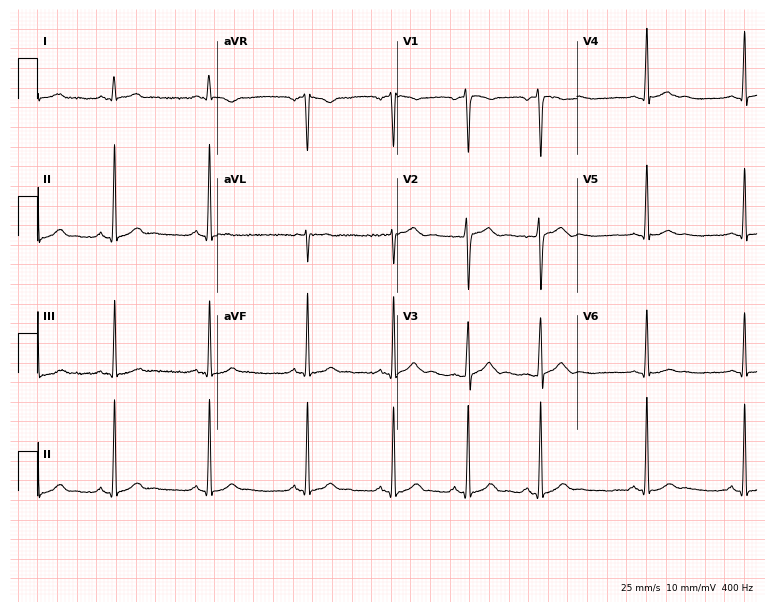
12-lead ECG (7.3-second recording at 400 Hz) from a male, 17 years old. Labelled as a normal ECG.